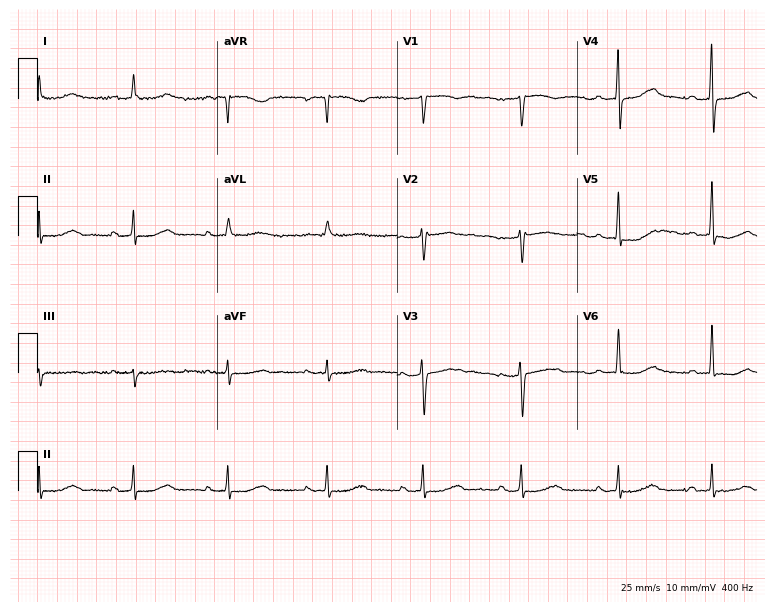
12-lead ECG from a 73-year-old woman. No first-degree AV block, right bundle branch block, left bundle branch block, sinus bradycardia, atrial fibrillation or sinus tachycardia recorded for this tracing.